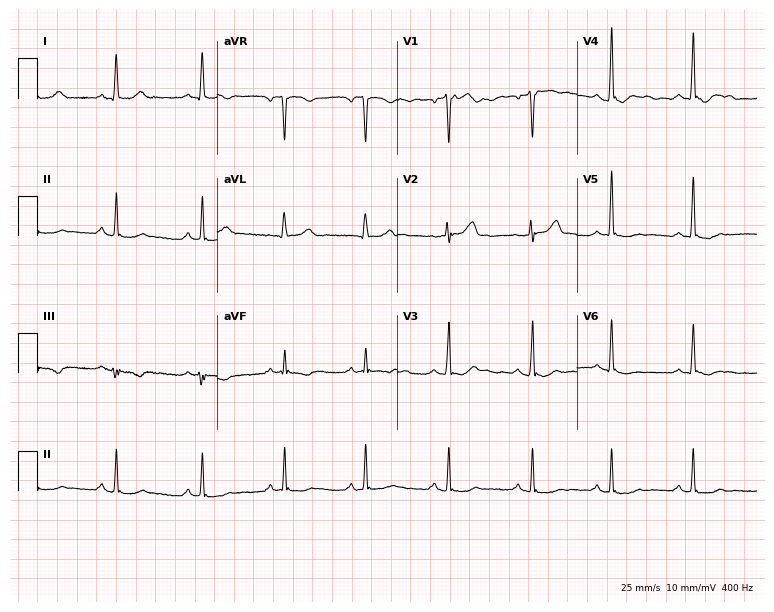
12-lead ECG from a man, 48 years old. Screened for six findings — first-degree AV block, right bundle branch block (RBBB), left bundle branch block (LBBB), sinus bradycardia, atrial fibrillation (AF), sinus tachycardia — none is recorded. Other findings, if any, are not listed.